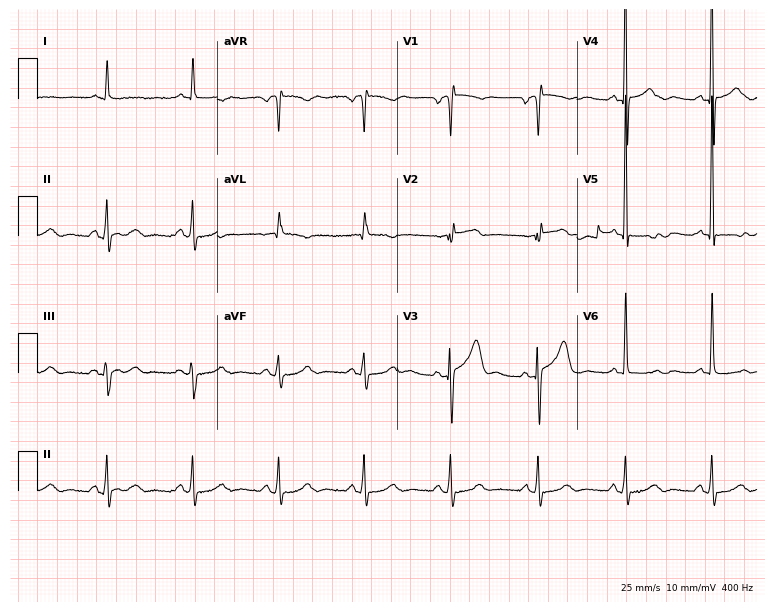
12-lead ECG from a man, 85 years old. No first-degree AV block, right bundle branch block (RBBB), left bundle branch block (LBBB), sinus bradycardia, atrial fibrillation (AF) or sinus tachycardia recorded for this tracing. Other findings, if any, are not listed.